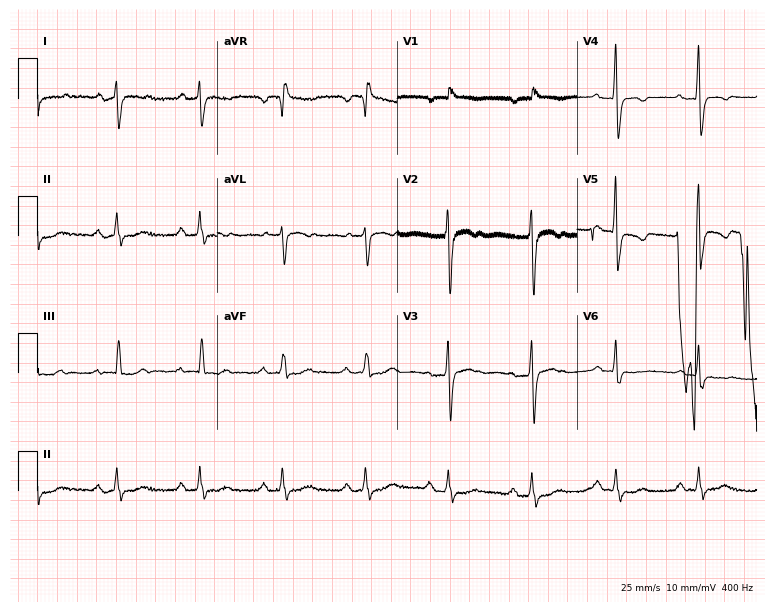
Standard 12-lead ECG recorded from a 71-year-old female (7.3-second recording at 400 Hz). None of these six findings is recorded: first-degree AV block, right bundle branch block (RBBB), left bundle branch block (LBBB), sinus bradycardia, atrial fibrillation (AF), sinus tachycardia.